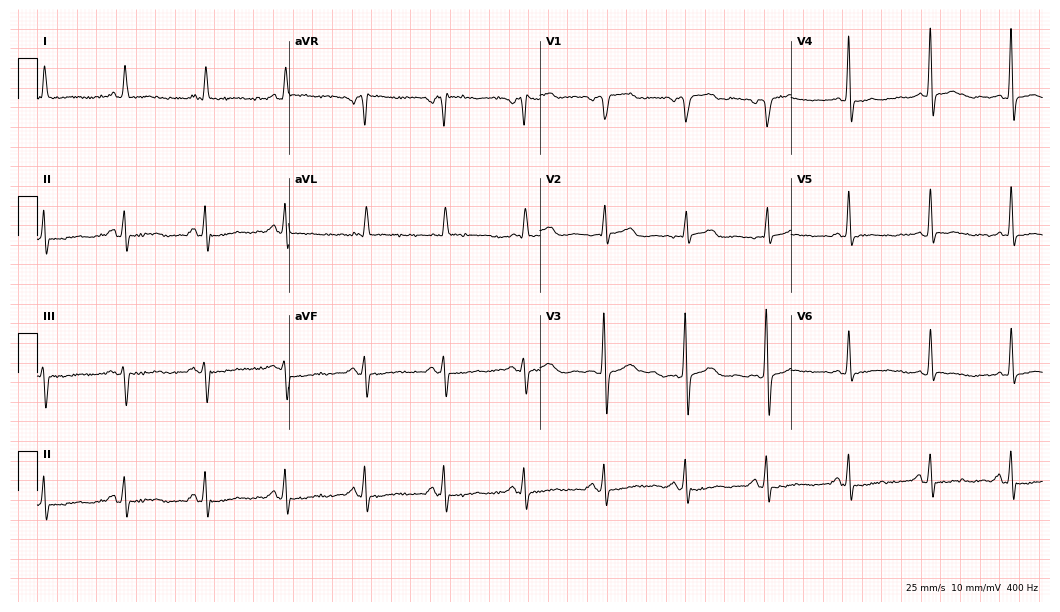
Standard 12-lead ECG recorded from a 77-year-old woman. Read as a normal ECG.